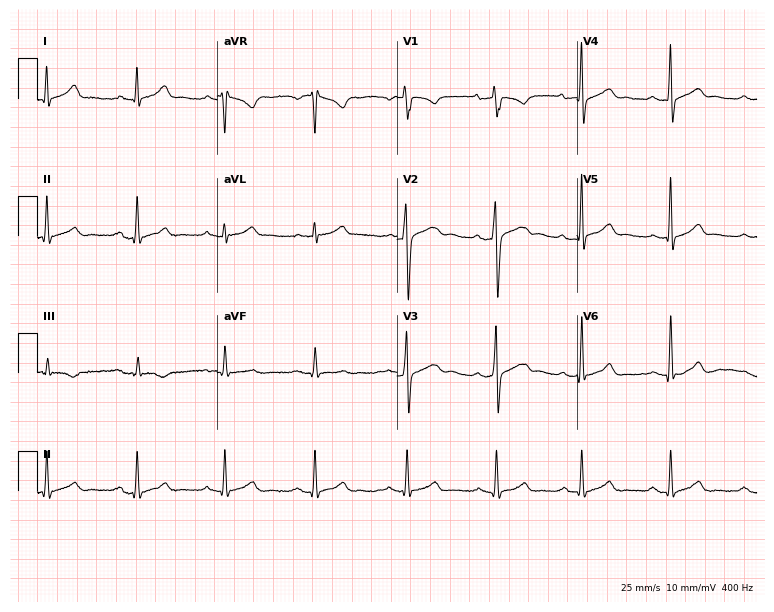
Electrocardiogram (7.3-second recording at 400 Hz), a 35-year-old man. Overall reading on record: normal ECG.